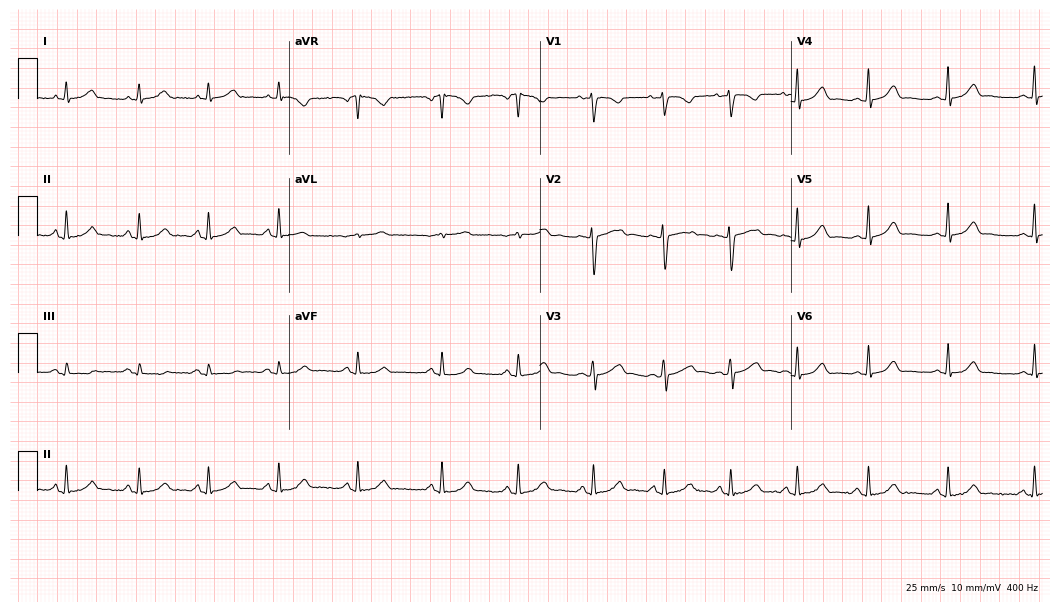
12-lead ECG from a 39-year-old female (10.2-second recording at 400 Hz). No first-degree AV block, right bundle branch block, left bundle branch block, sinus bradycardia, atrial fibrillation or sinus tachycardia recorded for this tracing.